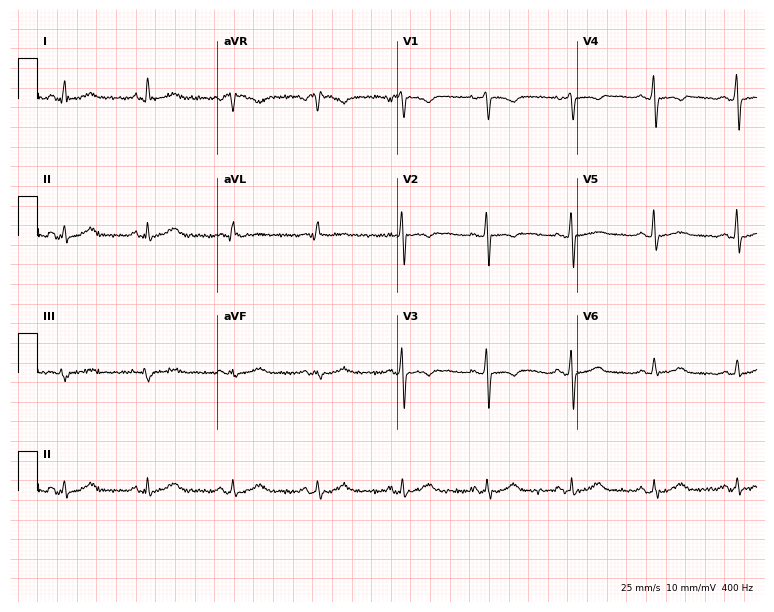
Standard 12-lead ECG recorded from a female patient, 41 years old (7.3-second recording at 400 Hz). None of these six findings is recorded: first-degree AV block, right bundle branch block, left bundle branch block, sinus bradycardia, atrial fibrillation, sinus tachycardia. Findings outside these six are not listed.